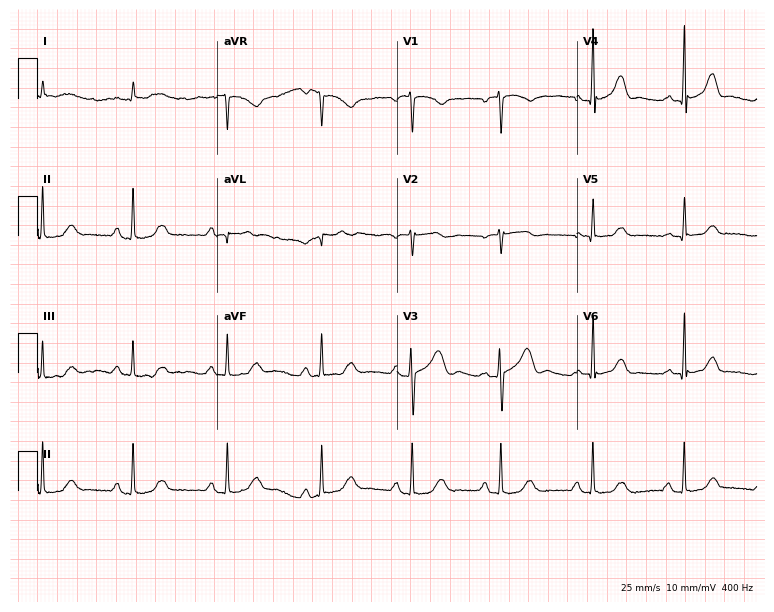
ECG (7.3-second recording at 400 Hz) — a 68-year-old female patient. Screened for six findings — first-degree AV block, right bundle branch block (RBBB), left bundle branch block (LBBB), sinus bradycardia, atrial fibrillation (AF), sinus tachycardia — none is recorded. Only these six findings were labelled.